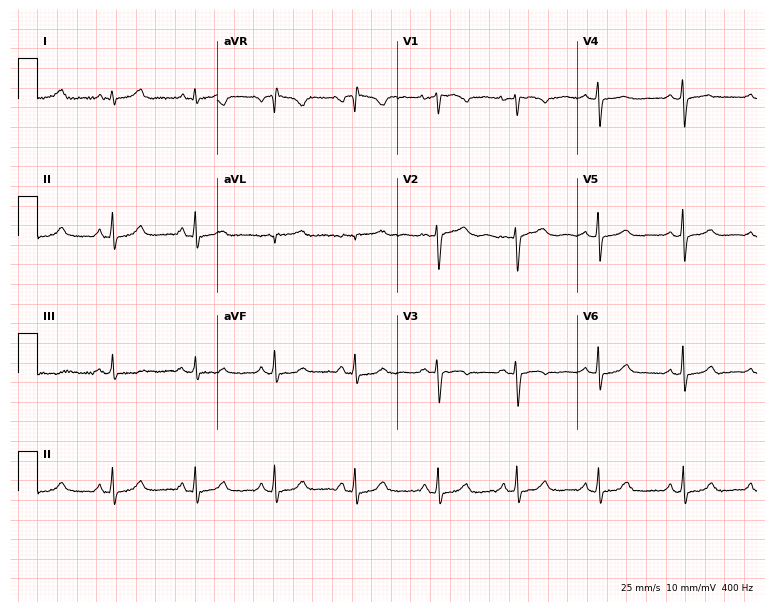
ECG — a 40-year-old female patient. Labelled as a normal ECG.